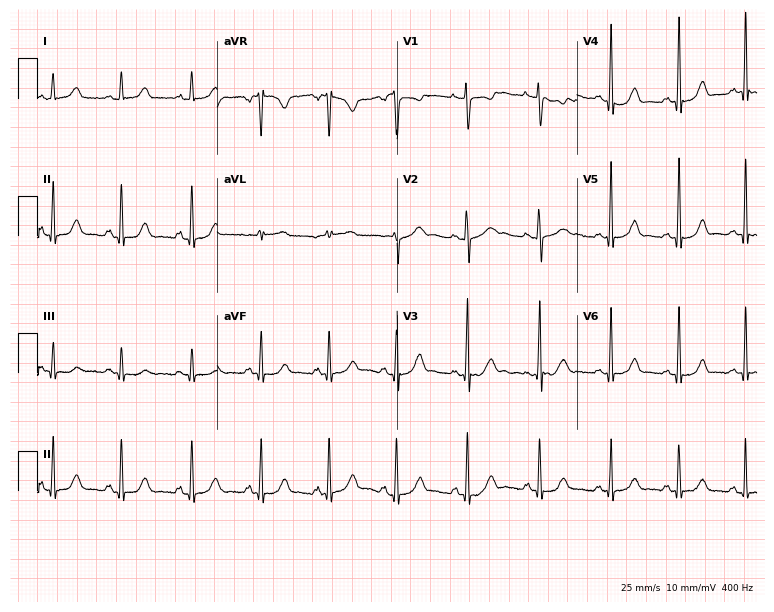
Standard 12-lead ECG recorded from a 21-year-old female (7.3-second recording at 400 Hz). None of these six findings is recorded: first-degree AV block, right bundle branch block (RBBB), left bundle branch block (LBBB), sinus bradycardia, atrial fibrillation (AF), sinus tachycardia.